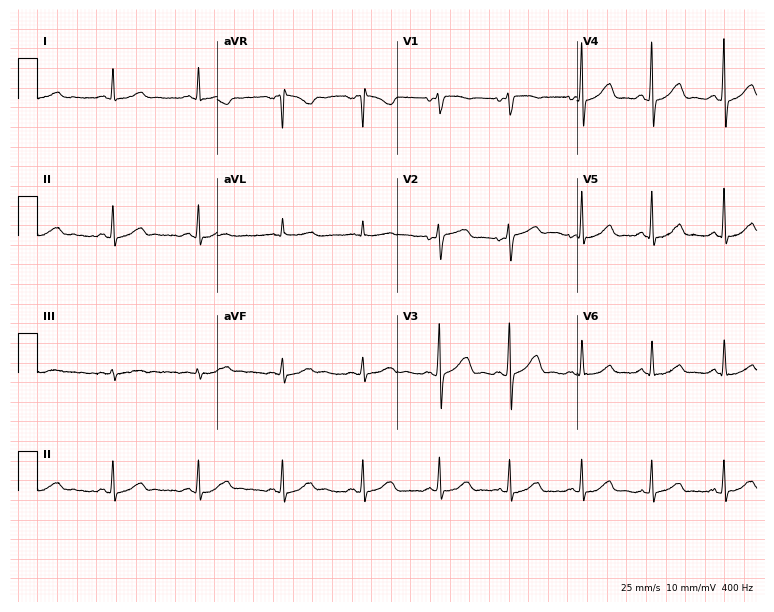
12-lead ECG from a female, 43 years old (7.3-second recording at 400 Hz). Recorded interpretation: within normal limits.